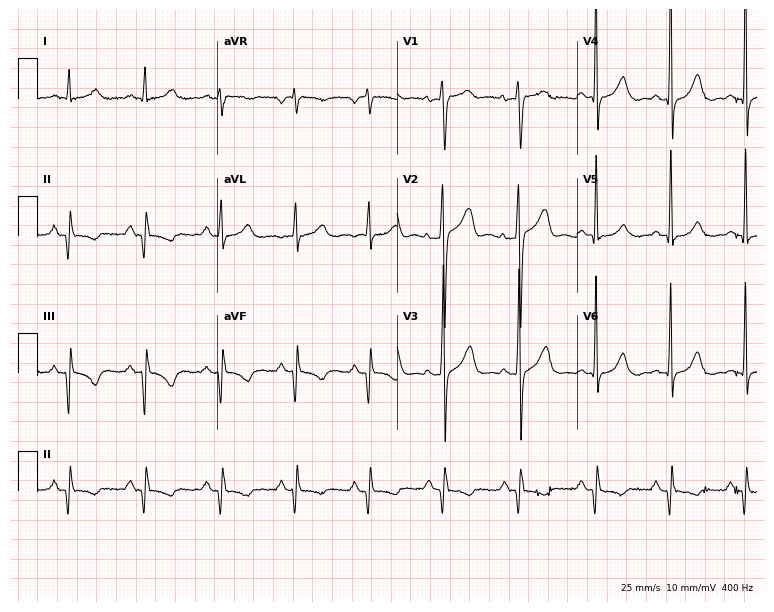
12-lead ECG from a man, 61 years old. No first-degree AV block, right bundle branch block (RBBB), left bundle branch block (LBBB), sinus bradycardia, atrial fibrillation (AF) or sinus tachycardia recorded for this tracing. Findings outside these six are not listed.